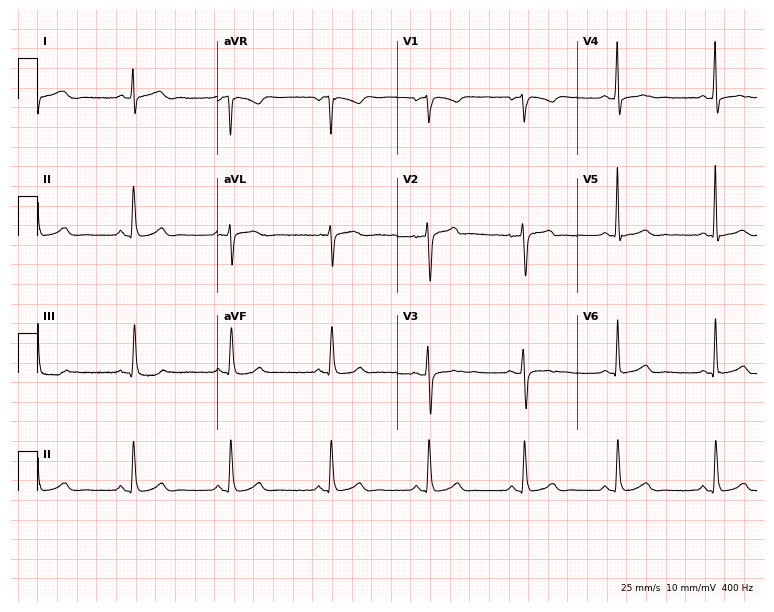
Standard 12-lead ECG recorded from a male patient, 43 years old (7.3-second recording at 400 Hz). Read as a normal ECG.